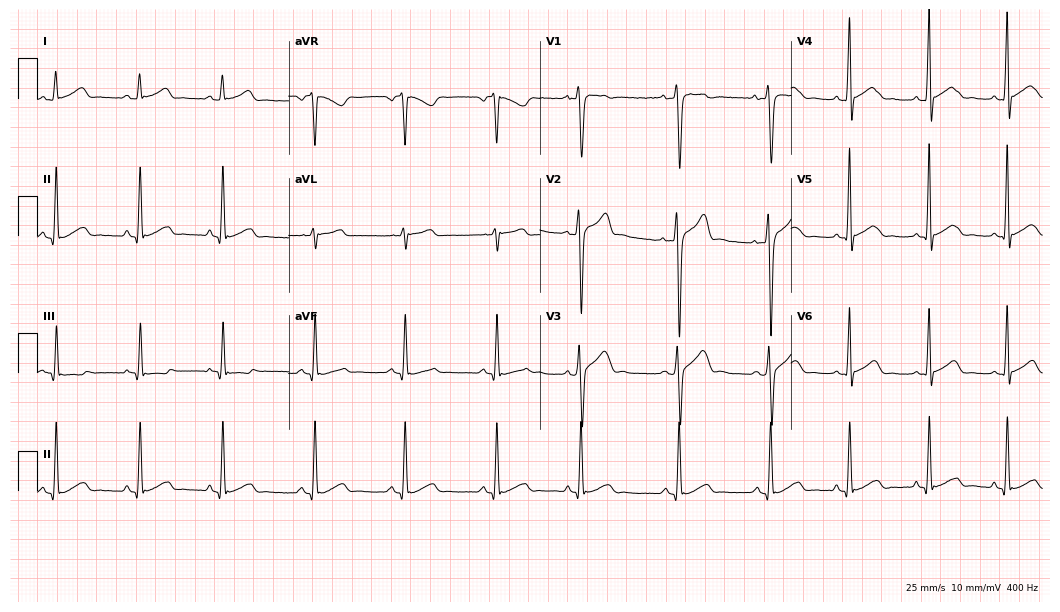
12-lead ECG from a 23-year-old male. Recorded interpretation: within normal limits.